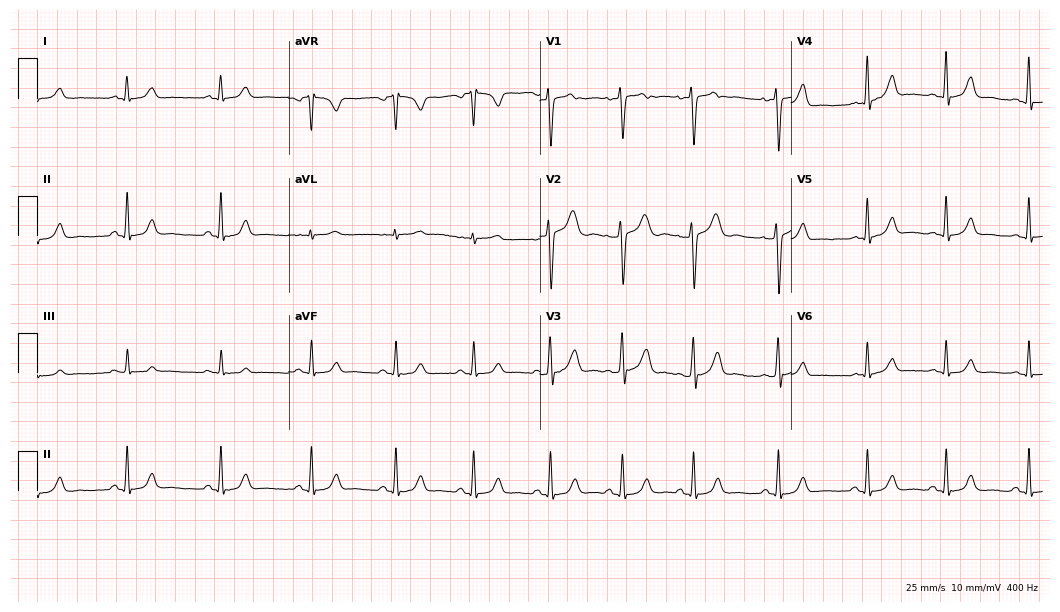
Standard 12-lead ECG recorded from a woman, 28 years old. Read as a normal ECG.